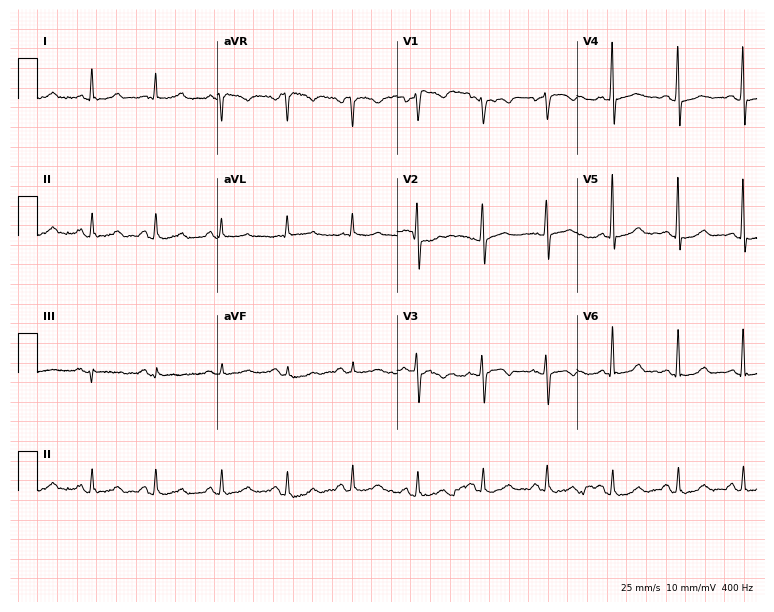
12-lead ECG from a 48-year-old female. Screened for six findings — first-degree AV block, right bundle branch block, left bundle branch block, sinus bradycardia, atrial fibrillation, sinus tachycardia — none is recorded. Findings outside these six are not listed.